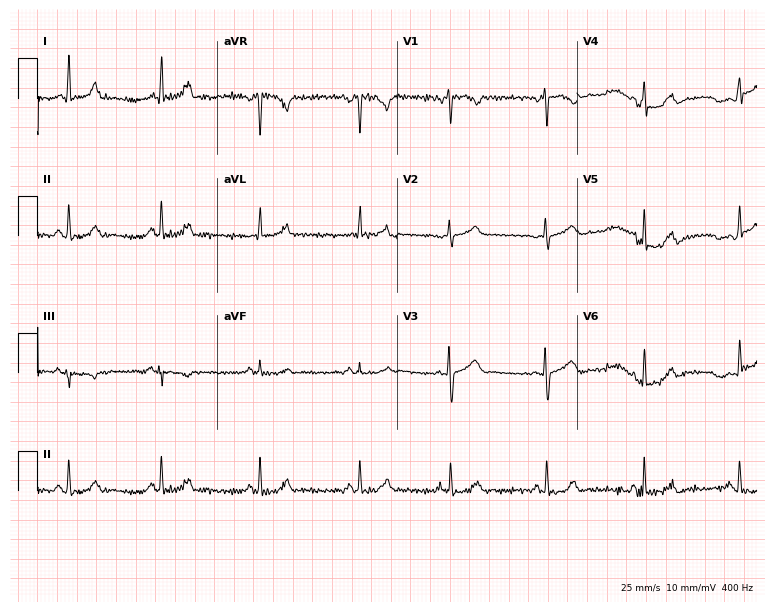
12-lead ECG from a female, 19 years old (7.3-second recording at 400 Hz). Recorded interpretation: within normal limits.